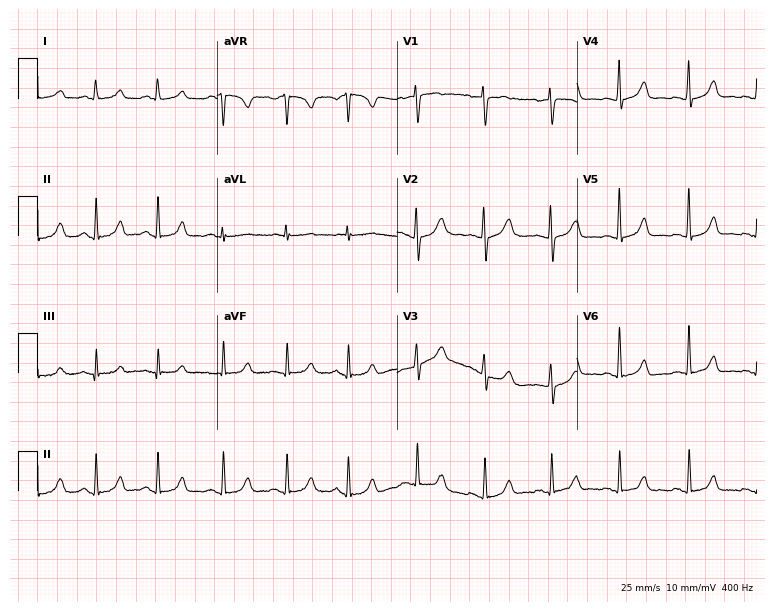
12-lead ECG from a 46-year-old female patient. Labelled as a normal ECG.